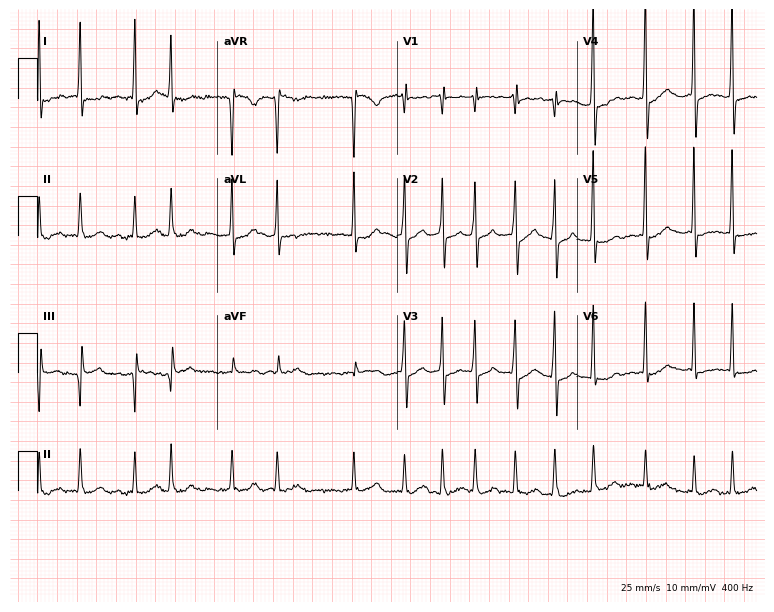
Electrocardiogram (7.3-second recording at 400 Hz), a female, 73 years old. Interpretation includes atrial fibrillation.